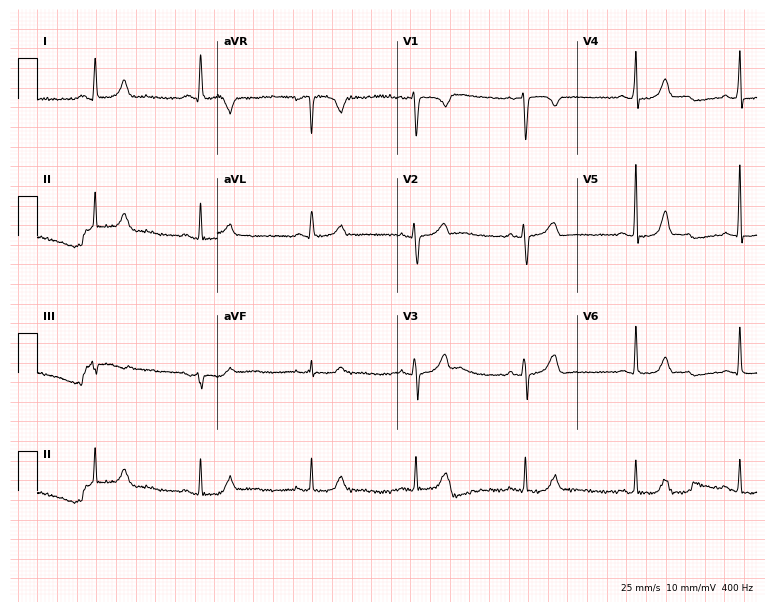
Electrocardiogram (7.3-second recording at 400 Hz), a woman, 40 years old. Overall reading on record: normal ECG.